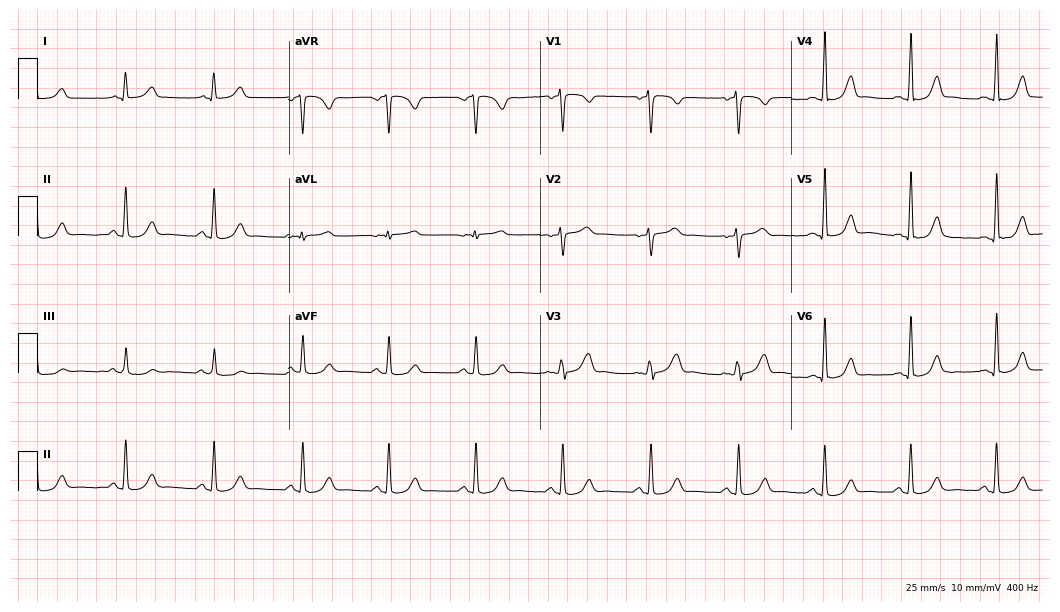
Electrocardiogram, a 45-year-old woman. Of the six screened findings (first-degree AV block, right bundle branch block, left bundle branch block, sinus bradycardia, atrial fibrillation, sinus tachycardia), none is recorded. Other findings, if any, are not listed.